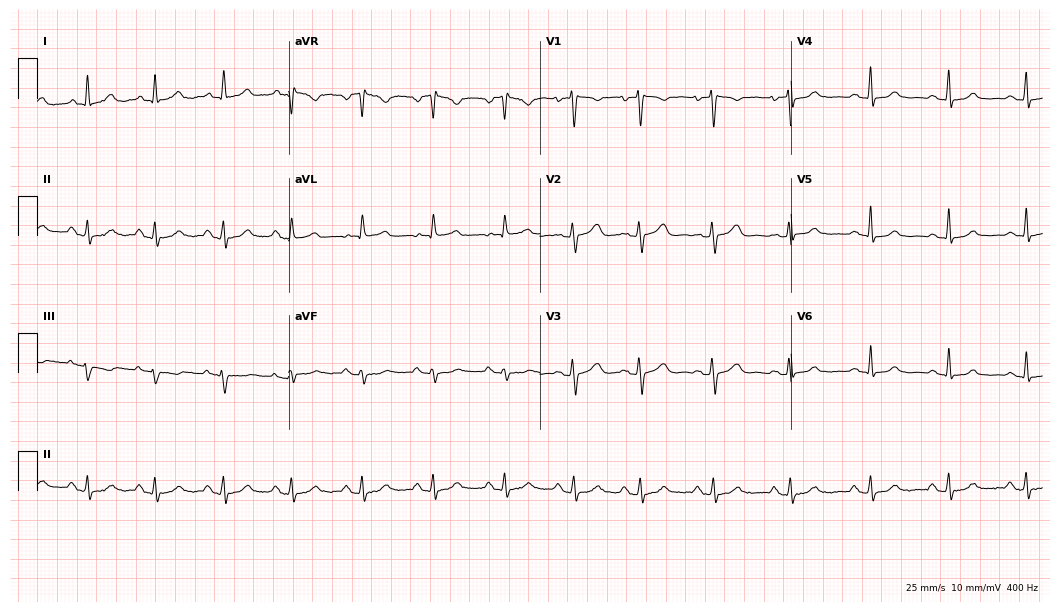
Electrocardiogram (10.2-second recording at 400 Hz), a 40-year-old female patient. Overall reading on record: normal ECG.